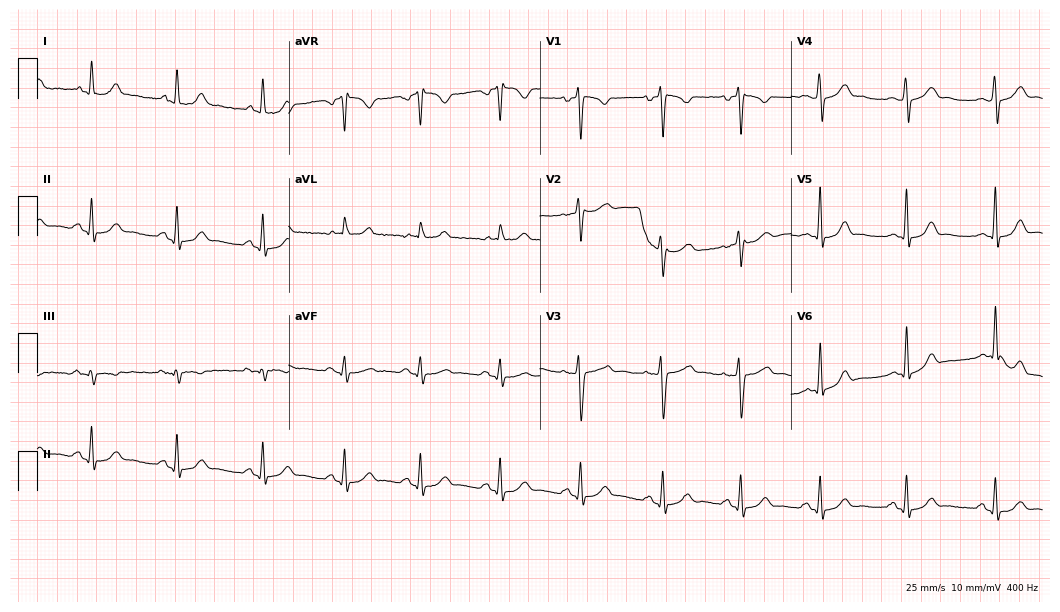
12-lead ECG (10.2-second recording at 400 Hz) from a woman, 26 years old. Screened for six findings — first-degree AV block, right bundle branch block, left bundle branch block, sinus bradycardia, atrial fibrillation, sinus tachycardia — none is recorded.